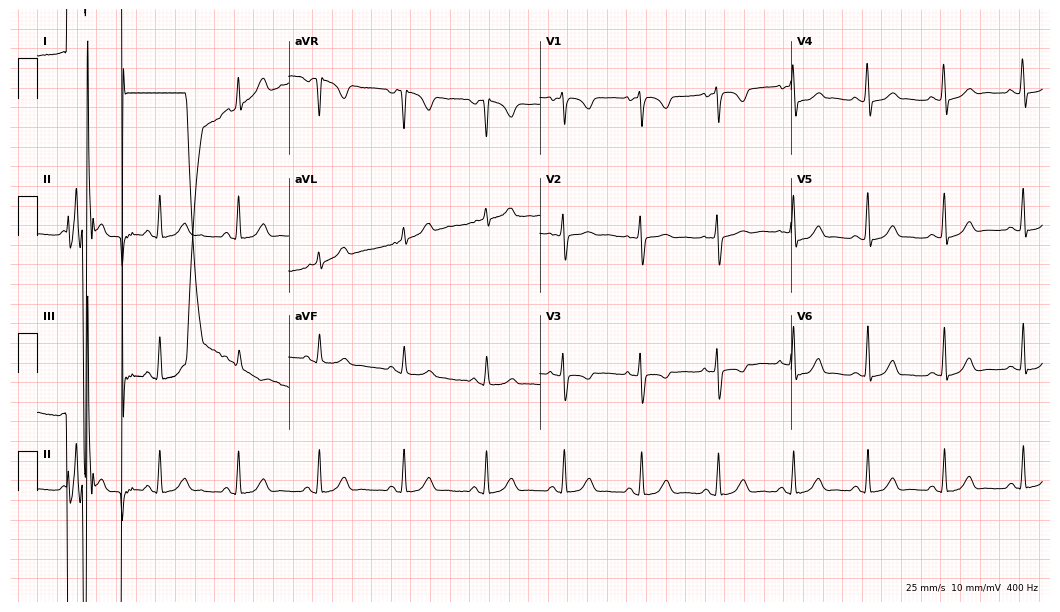
Resting 12-lead electrocardiogram (10.2-second recording at 400 Hz). Patient: a 41-year-old woman. None of these six findings is recorded: first-degree AV block, right bundle branch block, left bundle branch block, sinus bradycardia, atrial fibrillation, sinus tachycardia.